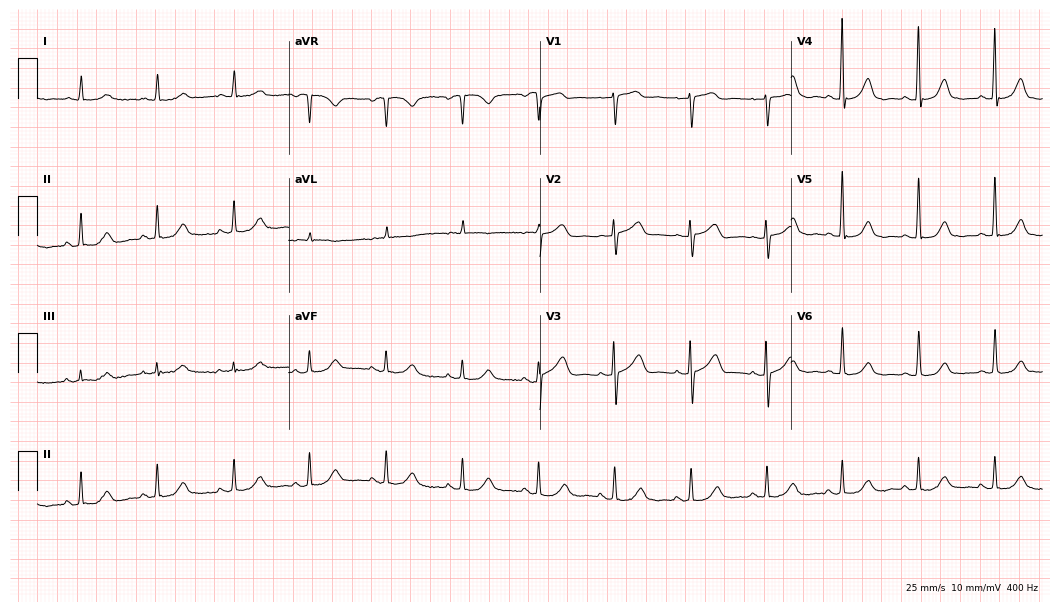
ECG — a 72-year-old woman. Labelled as a normal ECG.